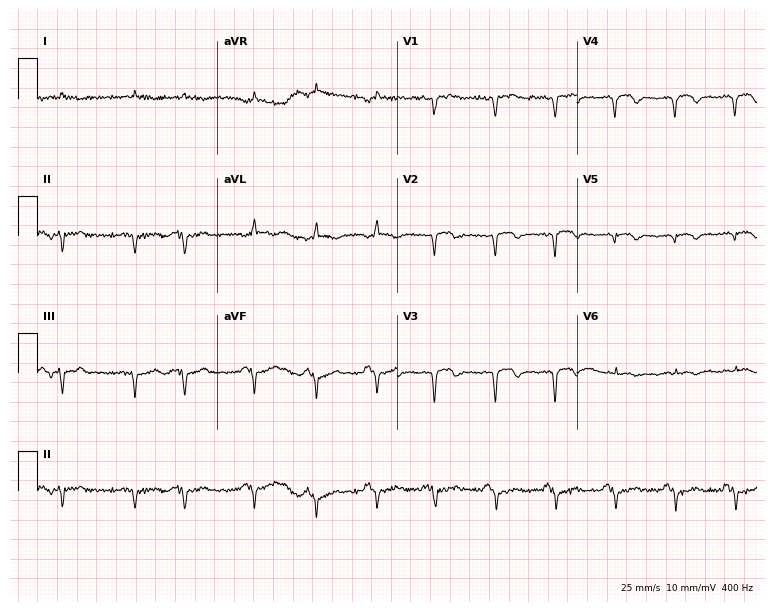
Standard 12-lead ECG recorded from a male patient, 72 years old. None of these six findings is recorded: first-degree AV block, right bundle branch block, left bundle branch block, sinus bradycardia, atrial fibrillation, sinus tachycardia. Only these six findings were labelled.